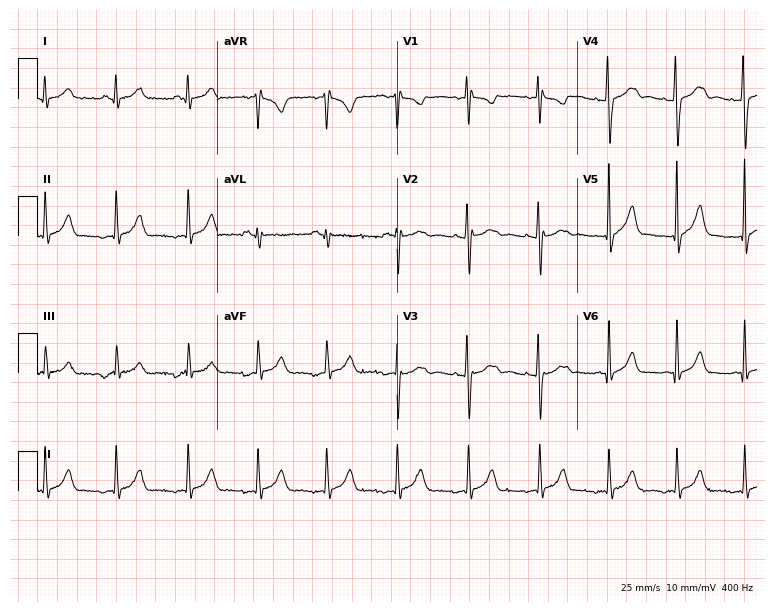
Resting 12-lead electrocardiogram (7.3-second recording at 400 Hz). Patient: a female, 17 years old. Read as a normal ECG.